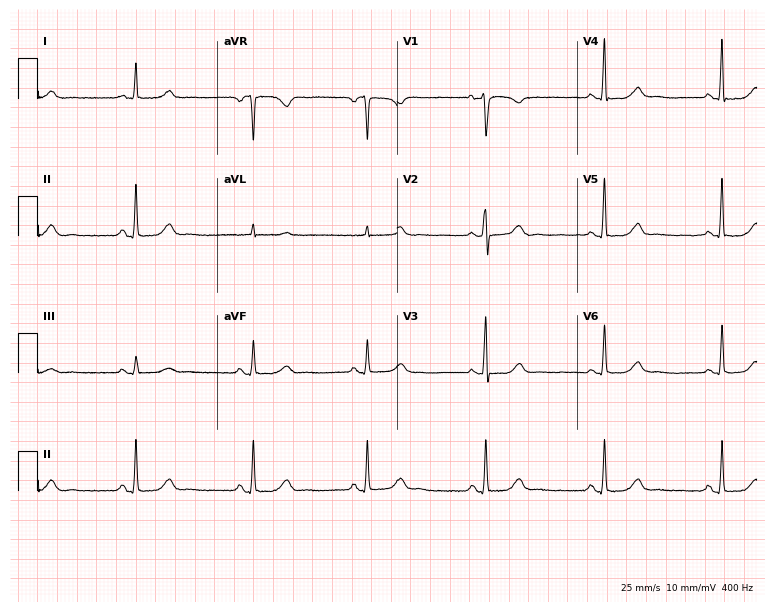
ECG (7.3-second recording at 400 Hz) — a 66-year-old woman. Screened for six findings — first-degree AV block, right bundle branch block, left bundle branch block, sinus bradycardia, atrial fibrillation, sinus tachycardia — none is recorded.